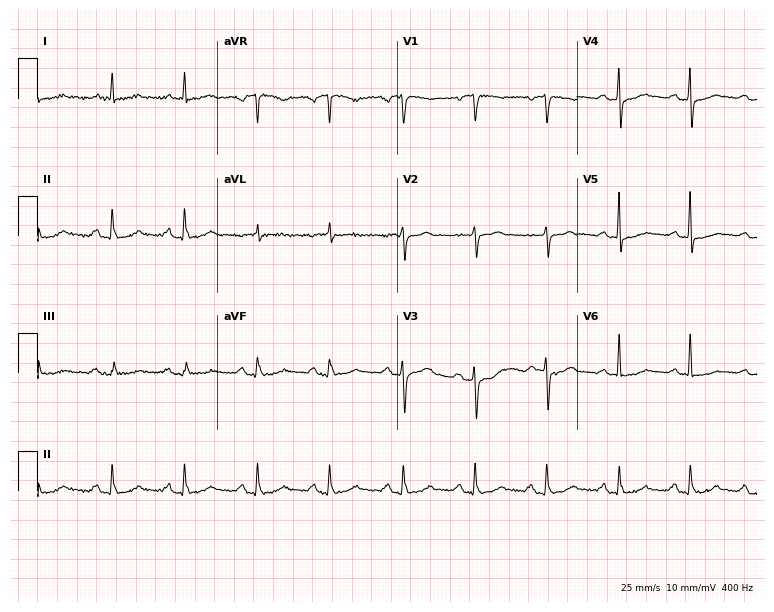
12-lead ECG from a 56-year-old male. Labelled as a normal ECG.